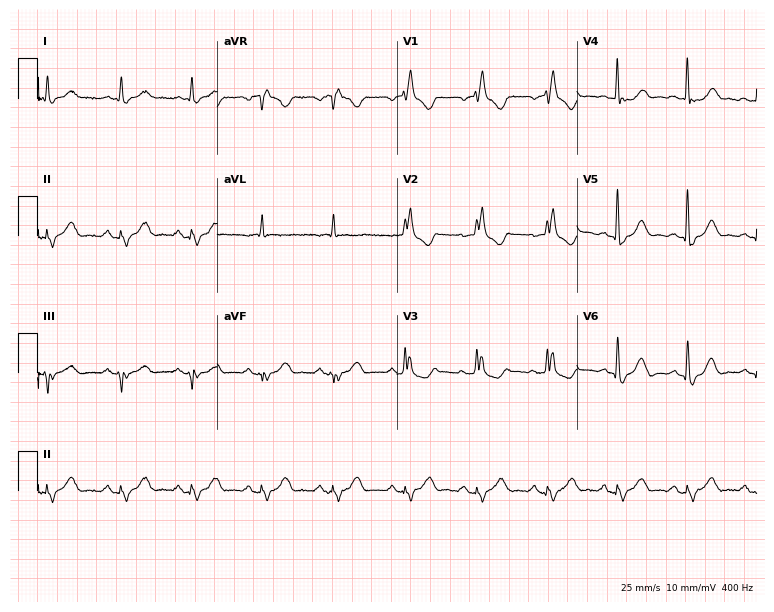
Standard 12-lead ECG recorded from a 67-year-old male patient. None of these six findings is recorded: first-degree AV block, right bundle branch block, left bundle branch block, sinus bradycardia, atrial fibrillation, sinus tachycardia. Findings outside these six are not listed.